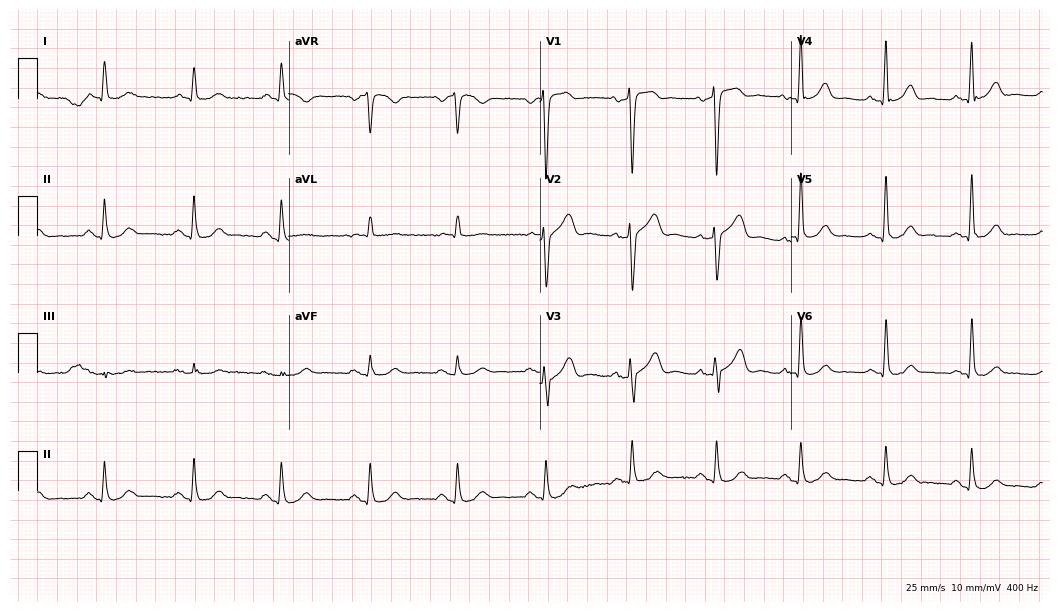
ECG — a male, 68 years old. Labelled as a normal ECG.